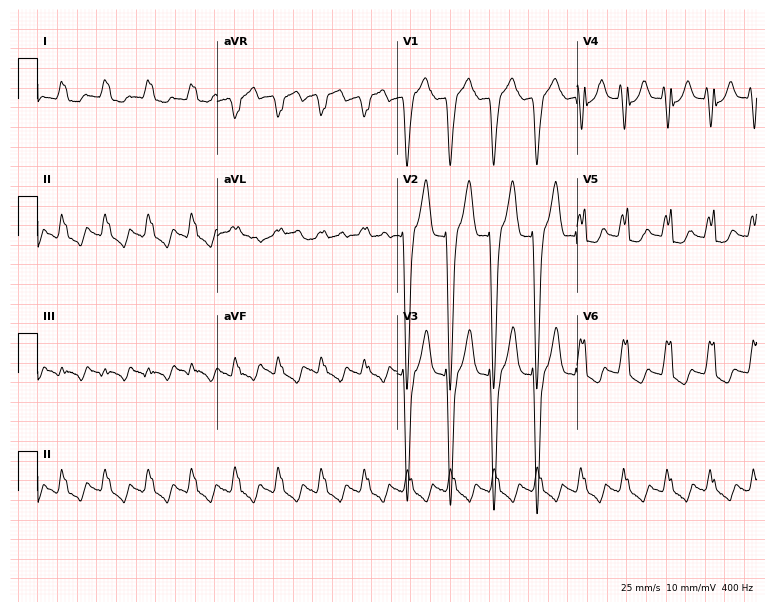
ECG (7.3-second recording at 400 Hz) — a male, 83 years old. Findings include left bundle branch block (LBBB).